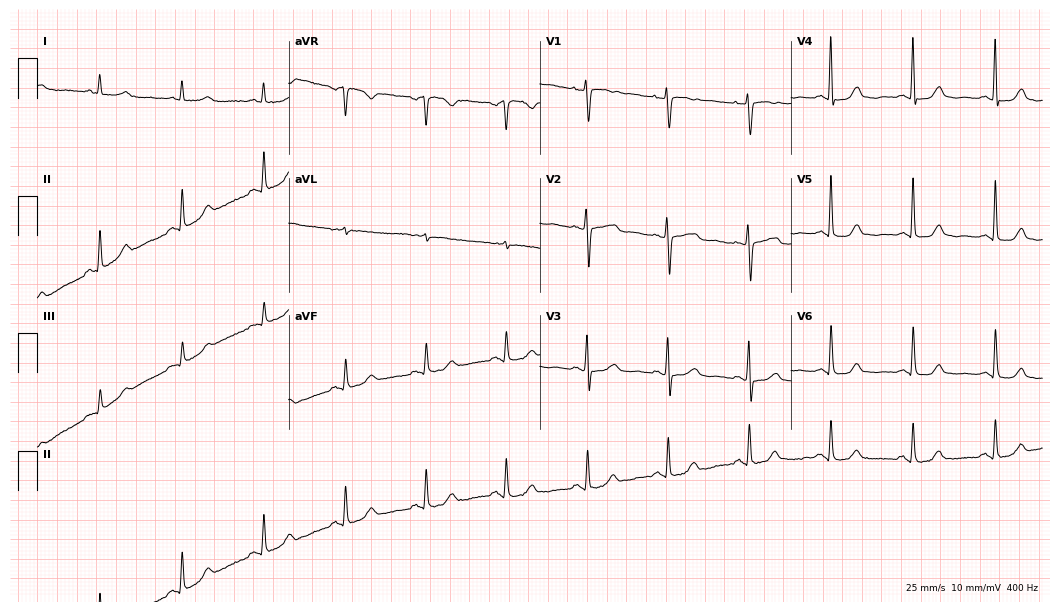
12-lead ECG from a female patient, 60 years old (10.2-second recording at 400 Hz). Recorded interpretation: within normal limits.